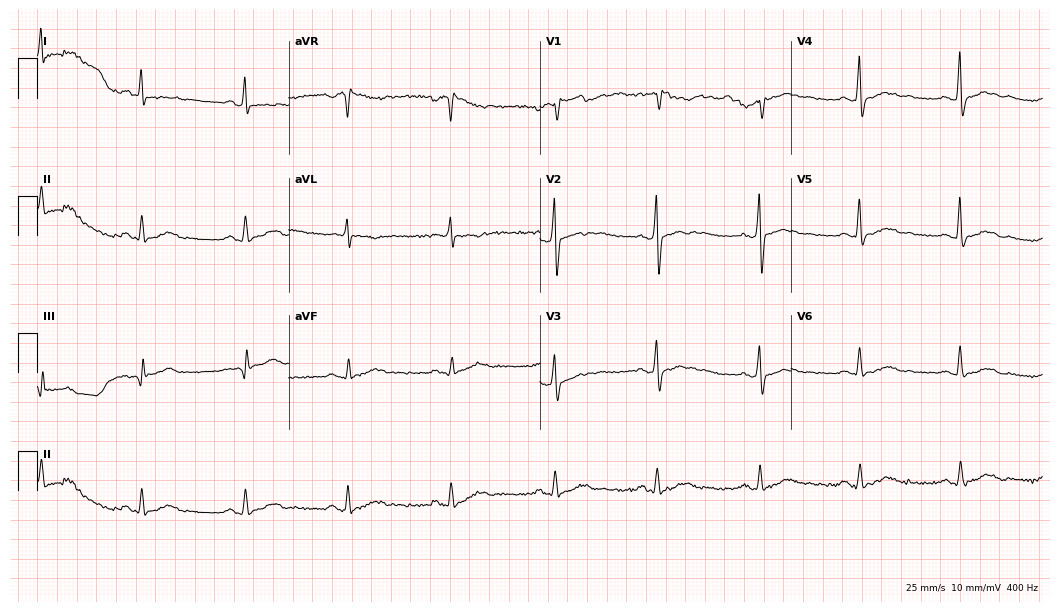
Resting 12-lead electrocardiogram. Patient: a male, 46 years old. None of these six findings is recorded: first-degree AV block, right bundle branch block (RBBB), left bundle branch block (LBBB), sinus bradycardia, atrial fibrillation (AF), sinus tachycardia. Other findings, if any, are not listed.